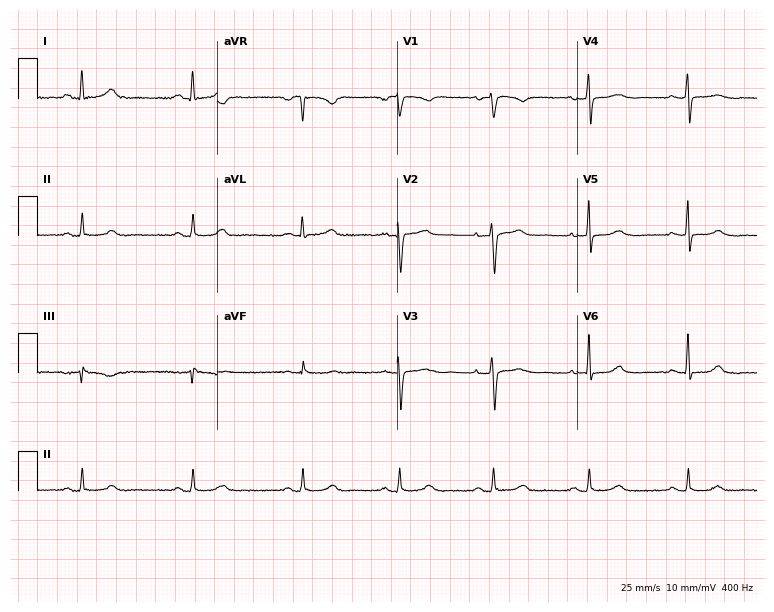
ECG (7.3-second recording at 400 Hz) — a female patient, 52 years old. Labelled as a normal ECG.